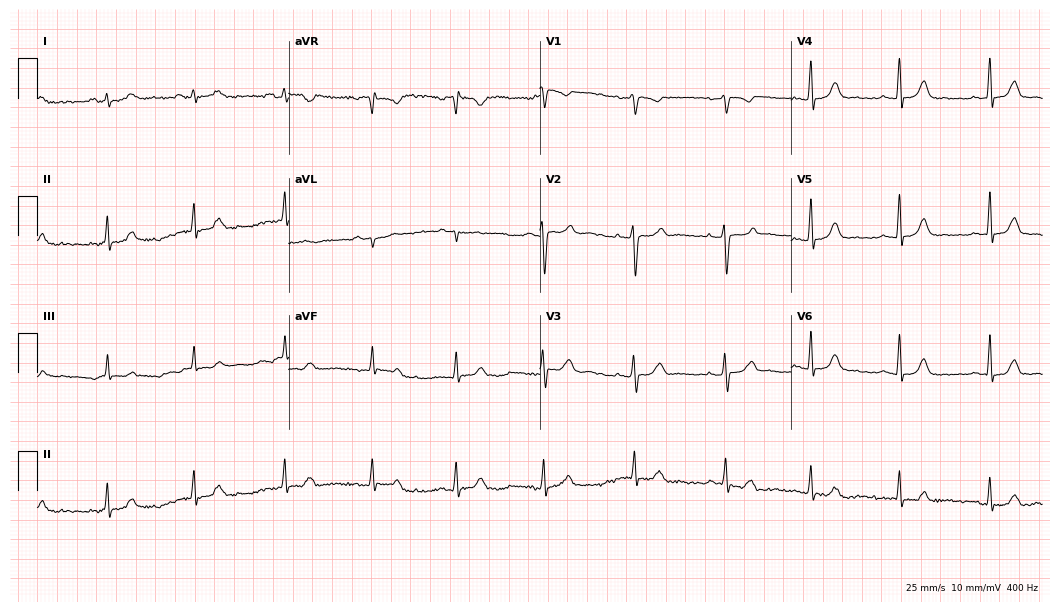
ECG (10.2-second recording at 400 Hz) — a 33-year-old female patient. Labelled as a normal ECG.